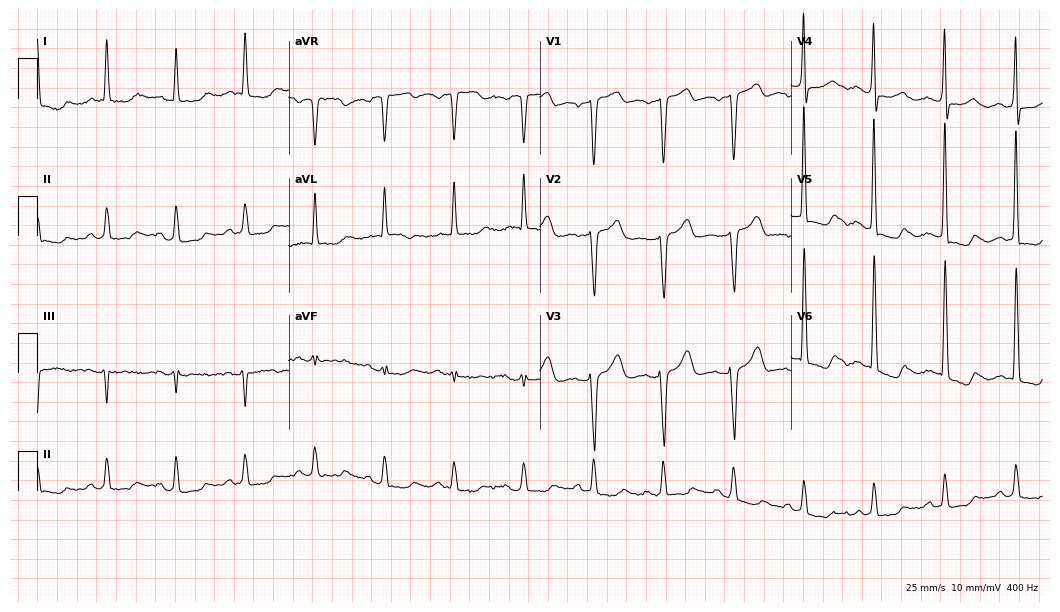
Electrocardiogram, a 68-year-old male. Of the six screened findings (first-degree AV block, right bundle branch block (RBBB), left bundle branch block (LBBB), sinus bradycardia, atrial fibrillation (AF), sinus tachycardia), none is recorded.